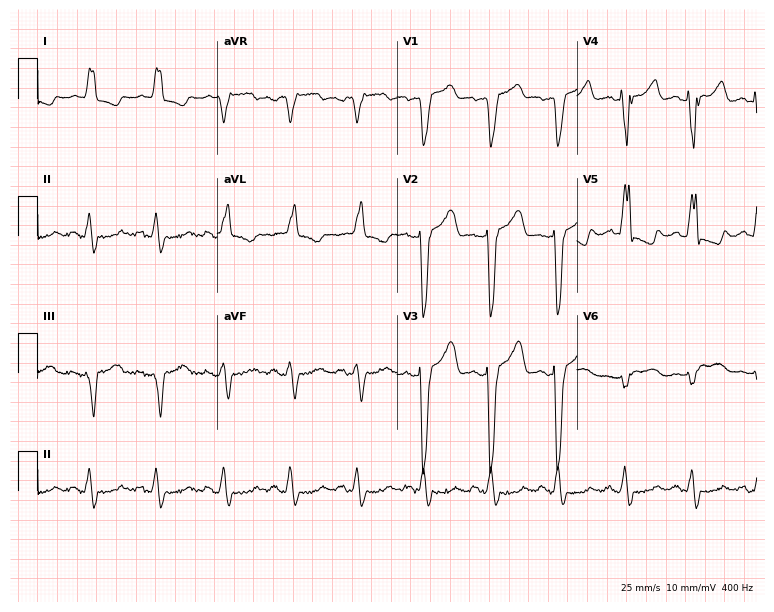
12-lead ECG (7.3-second recording at 400 Hz) from an 82-year-old male patient. Findings include left bundle branch block.